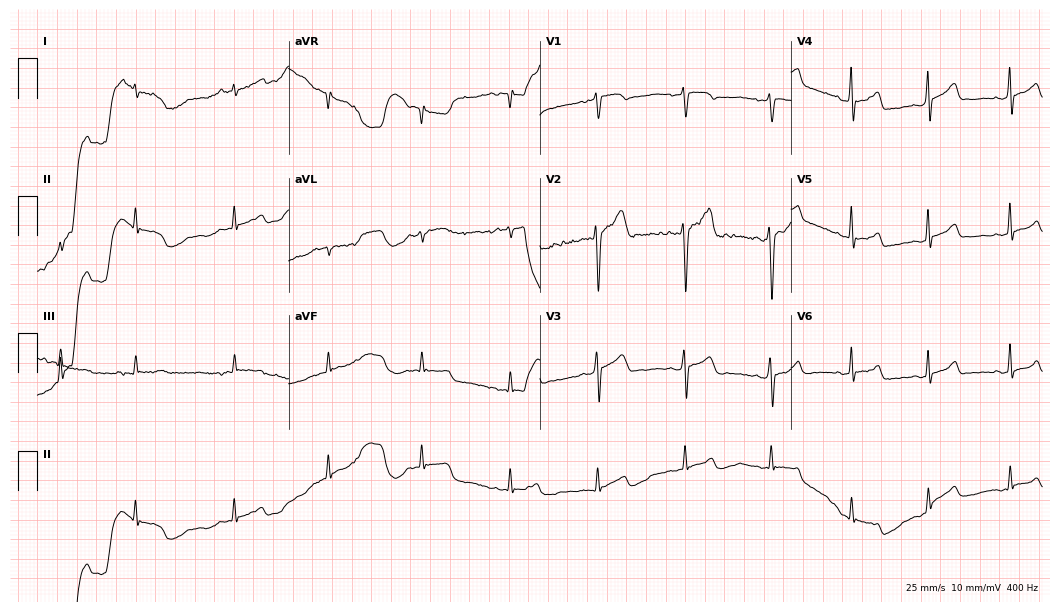
12-lead ECG from a man, 17 years old. Recorded interpretation: within normal limits.